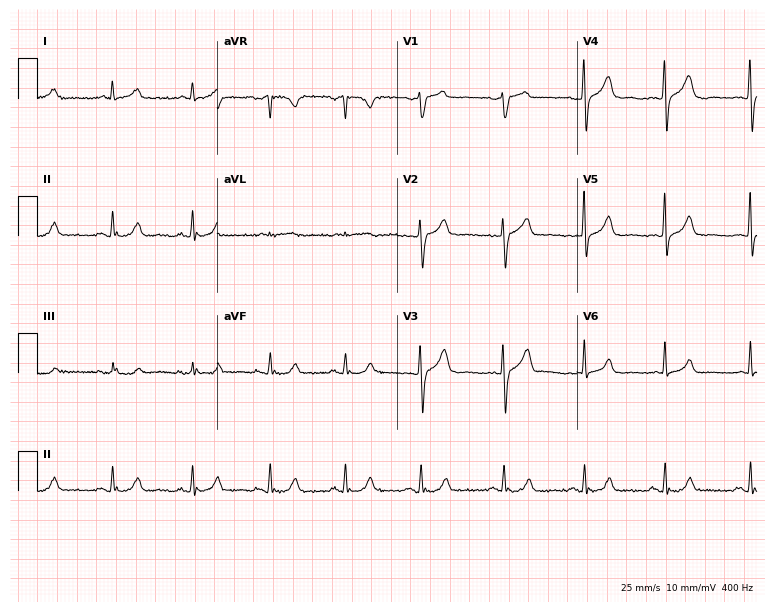
ECG — a 50-year-old man. Labelled as a normal ECG.